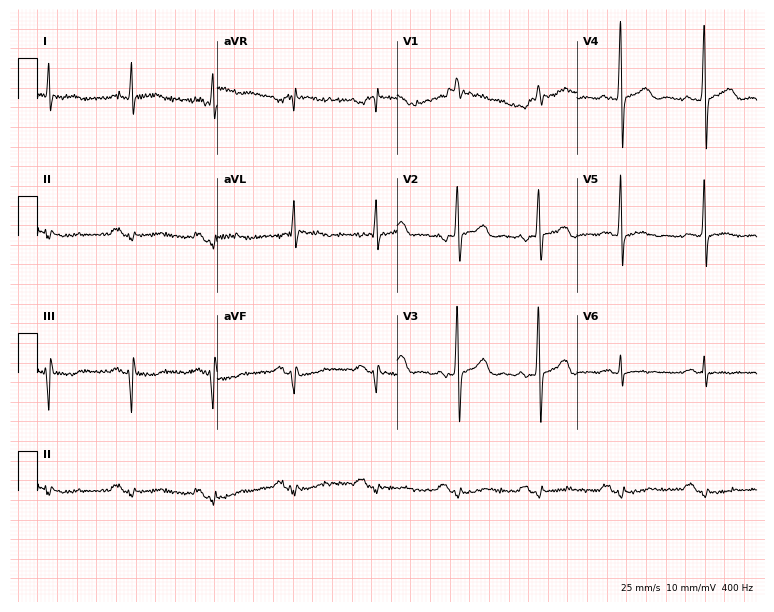
Standard 12-lead ECG recorded from a man, 59 years old. None of these six findings is recorded: first-degree AV block, right bundle branch block (RBBB), left bundle branch block (LBBB), sinus bradycardia, atrial fibrillation (AF), sinus tachycardia.